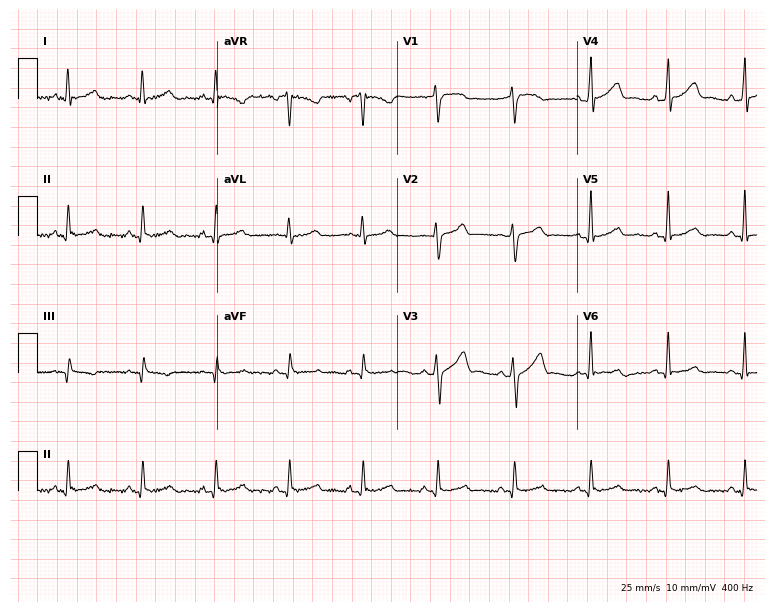
Standard 12-lead ECG recorded from a man, 55 years old (7.3-second recording at 400 Hz). None of these six findings is recorded: first-degree AV block, right bundle branch block, left bundle branch block, sinus bradycardia, atrial fibrillation, sinus tachycardia. Other findings, if any, are not listed.